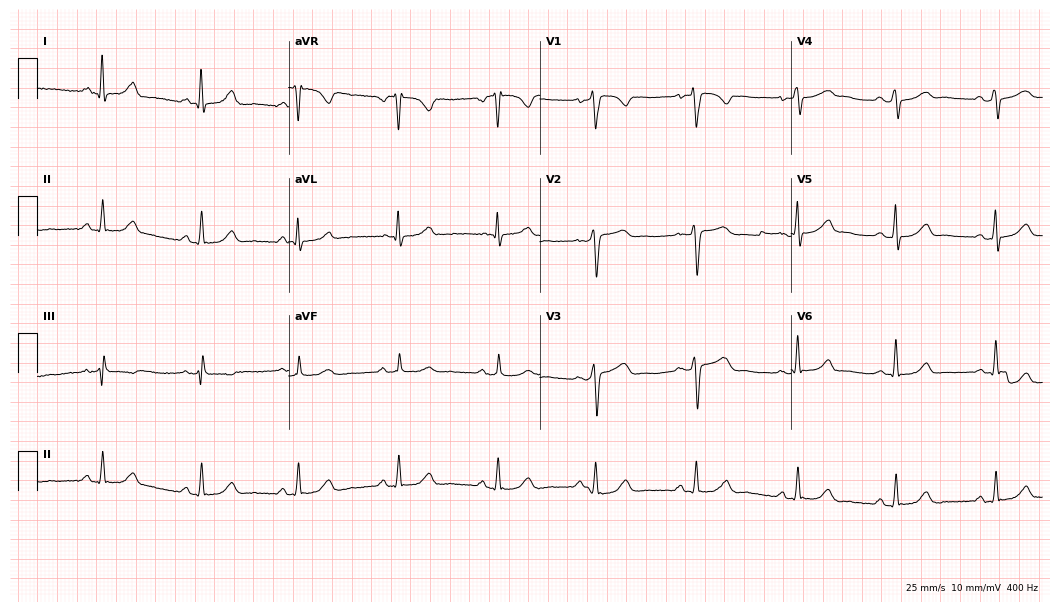
Electrocardiogram (10.2-second recording at 400 Hz), a 50-year-old female. Overall reading on record: normal ECG.